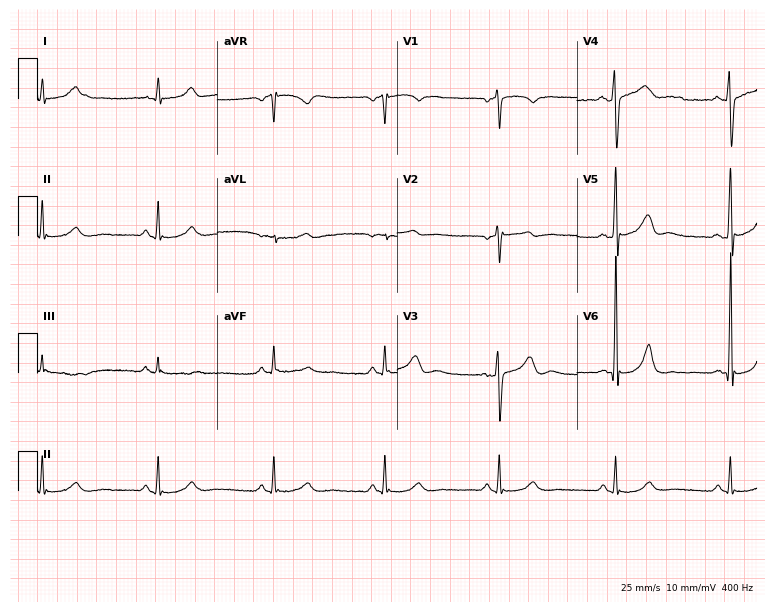
Resting 12-lead electrocardiogram. Patient: a man, 51 years old. Read as a normal ECG.